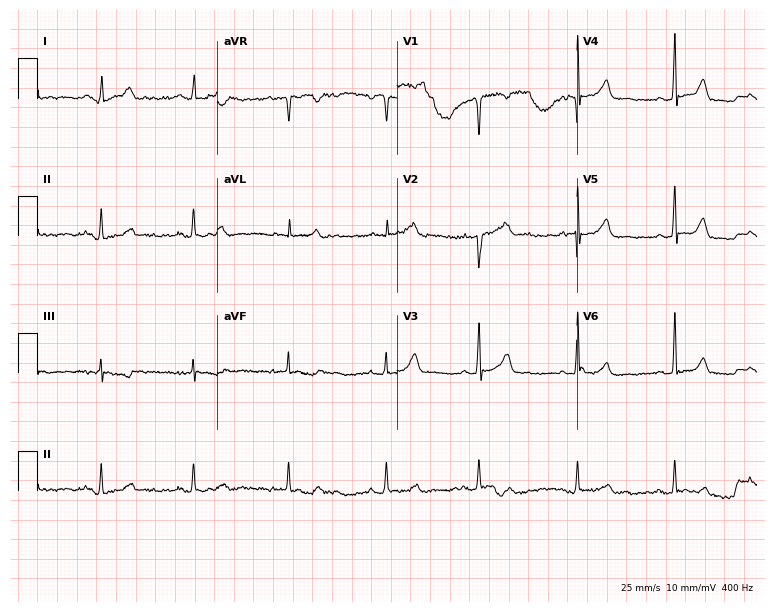
Resting 12-lead electrocardiogram (7.3-second recording at 400 Hz). Patient: a 48-year-old female. None of these six findings is recorded: first-degree AV block, right bundle branch block (RBBB), left bundle branch block (LBBB), sinus bradycardia, atrial fibrillation (AF), sinus tachycardia.